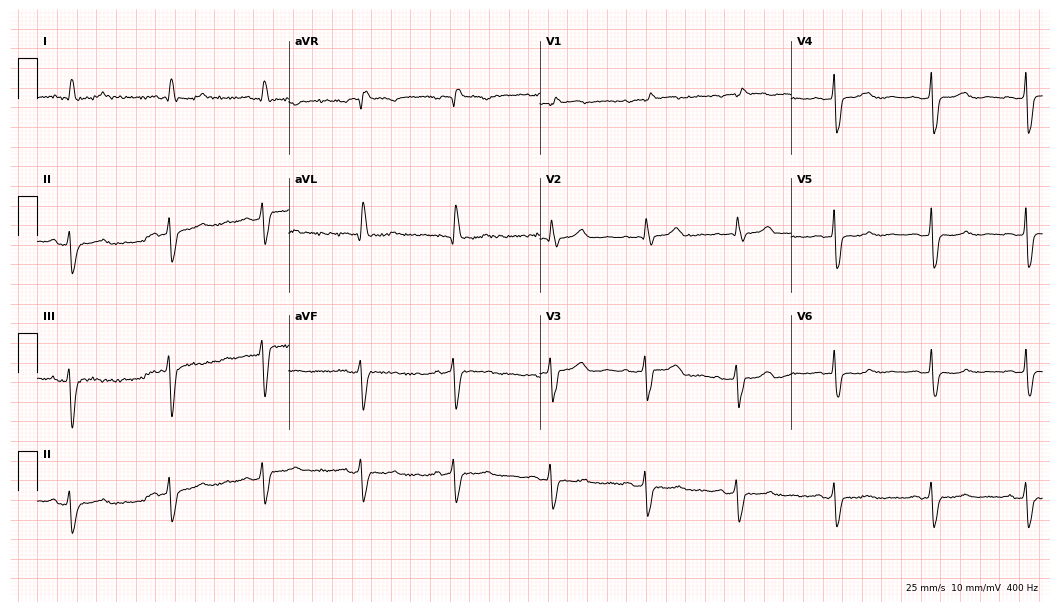
Standard 12-lead ECG recorded from a female patient, 70 years old. None of these six findings is recorded: first-degree AV block, right bundle branch block (RBBB), left bundle branch block (LBBB), sinus bradycardia, atrial fibrillation (AF), sinus tachycardia. Other findings, if any, are not listed.